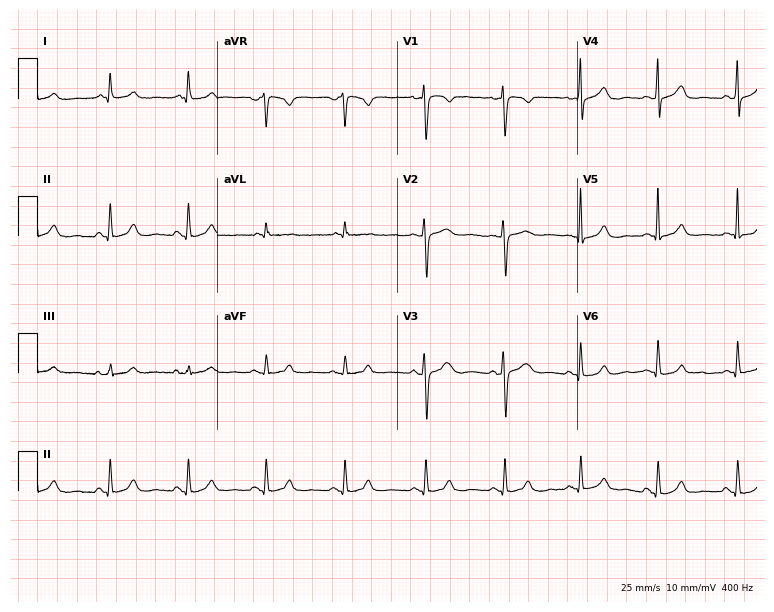
12-lead ECG from a female, 41 years old. Screened for six findings — first-degree AV block, right bundle branch block, left bundle branch block, sinus bradycardia, atrial fibrillation, sinus tachycardia — none is recorded. Findings outside these six are not listed.